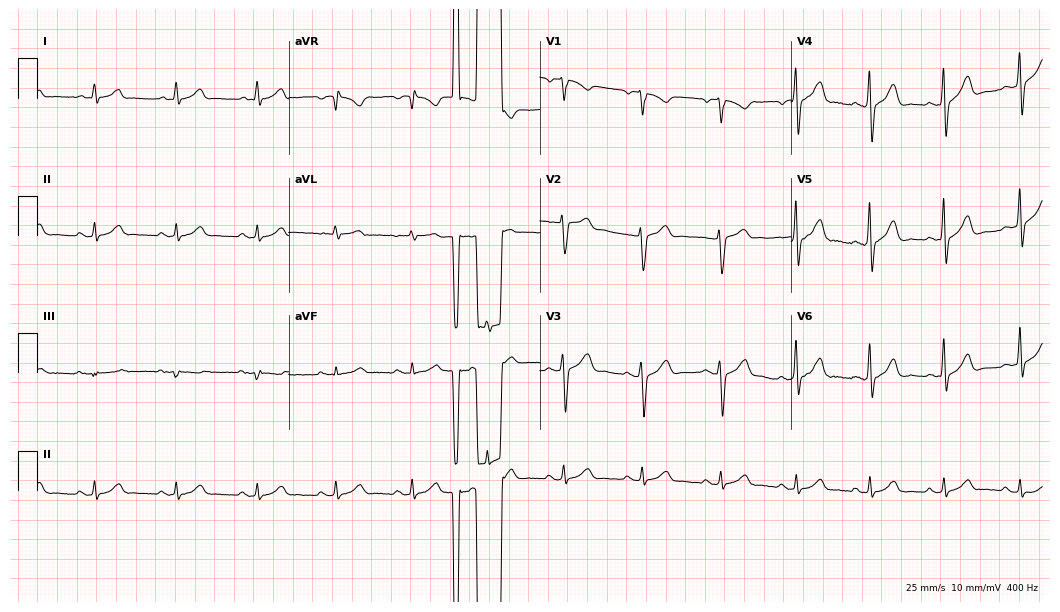
12-lead ECG (10.2-second recording at 400 Hz) from a 36-year-old man. Labelled as a normal ECG.